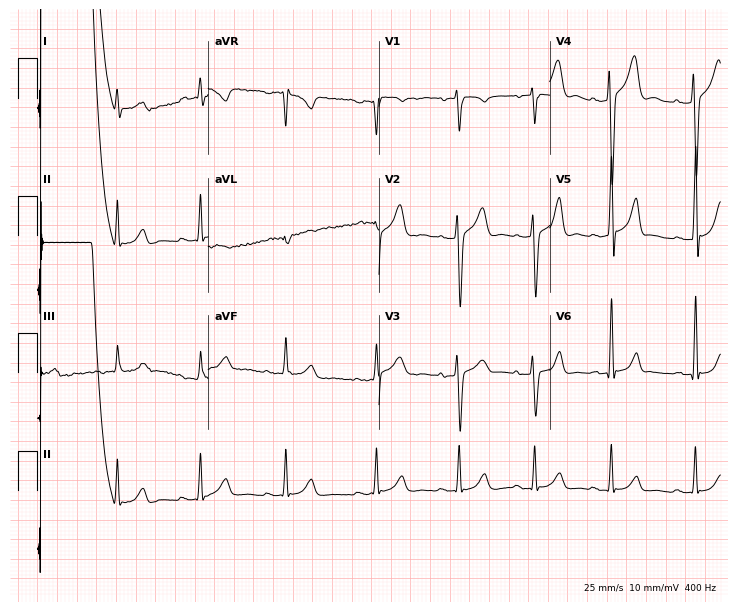
12-lead ECG from a 25-year-old man. Recorded interpretation: within normal limits.